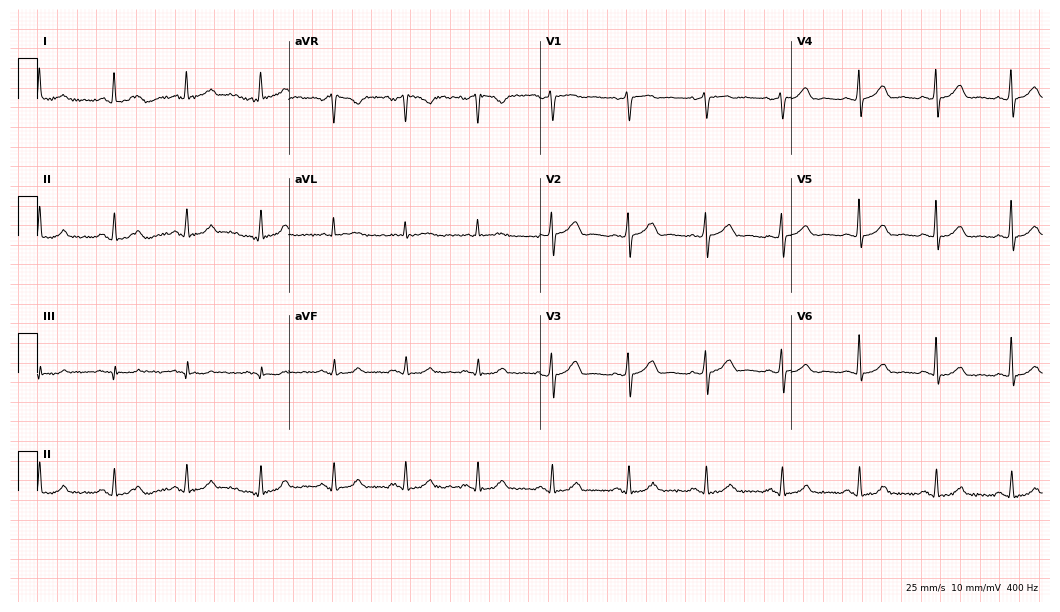
ECG — a 55-year-old female. Labelled as a normal ECG.